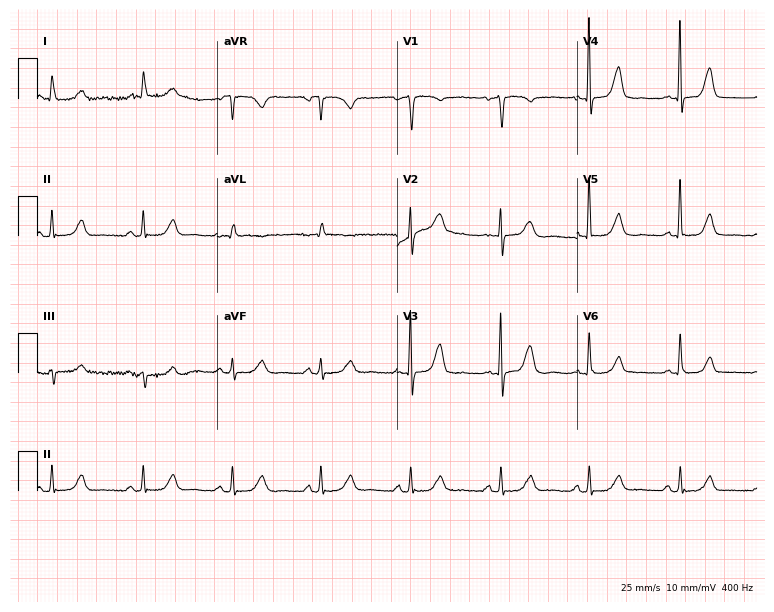
12-lead ECG (7.3-second recording at 400 Hz) from a 78-year-old woman. Screened for six findings — first-degree AV block, right bundle branch block, left bundle branch block, sinus bradycardia, atrial fibrillation, sinus tachycardia — none is recorded.